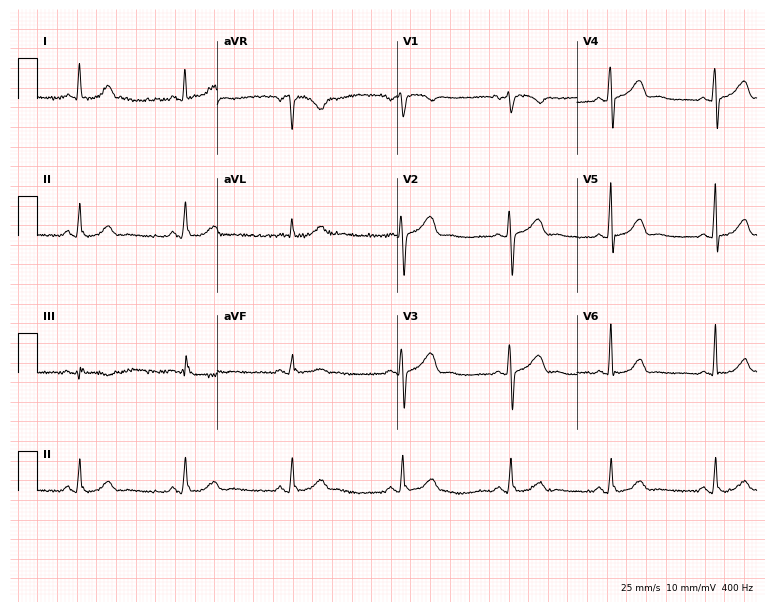
Standard 12-lead ECG recorded from a 54-year-old woman. Read as a normal ECG.